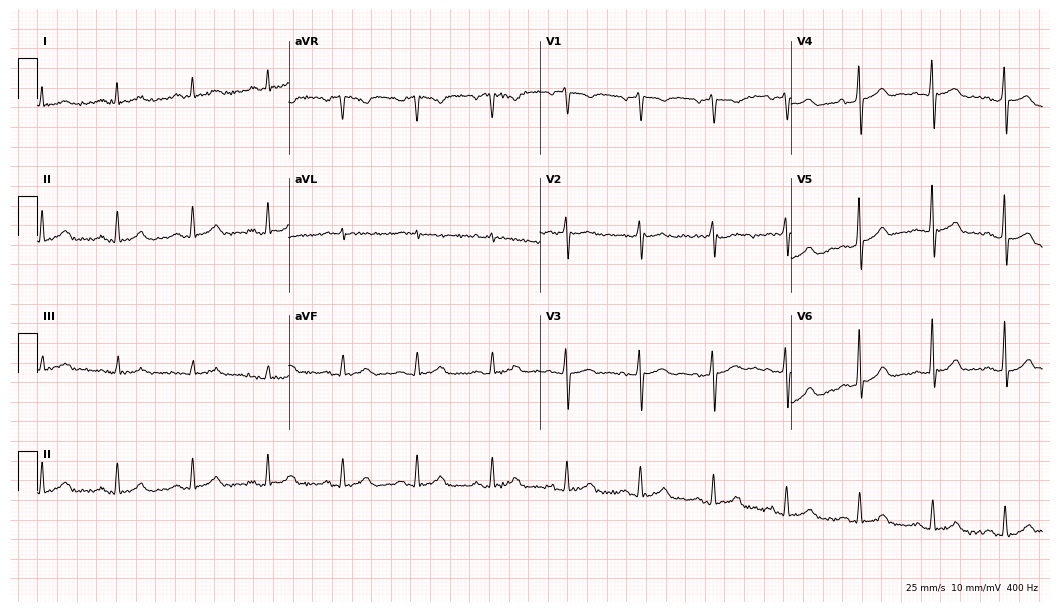
ECG (10.2-second recording at 400 Hz) — a 64-year-old man. Labelled as a normal ECG.